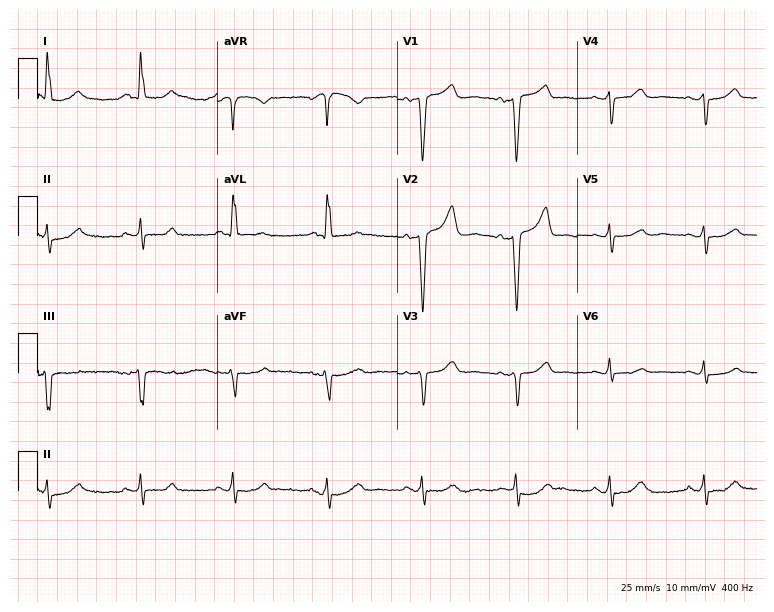
ECG (7.3-second recording at 400 Hz) — a 70-year-old female. Screened for six findings — first-degree AV block, right bundle branch block, left bundle branch block, sinus bradycardia, atrial fibrillation, sinus tachycardia — none is recorded.